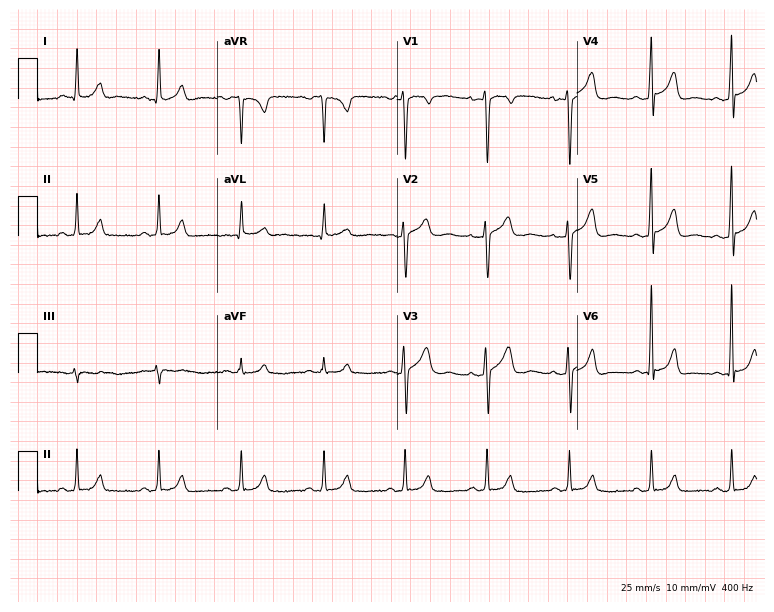
Standard 12-lead ECG recorded from a 45-year-old male patient (7.3-second recording at 400 Hz). Read as a normal ECG.